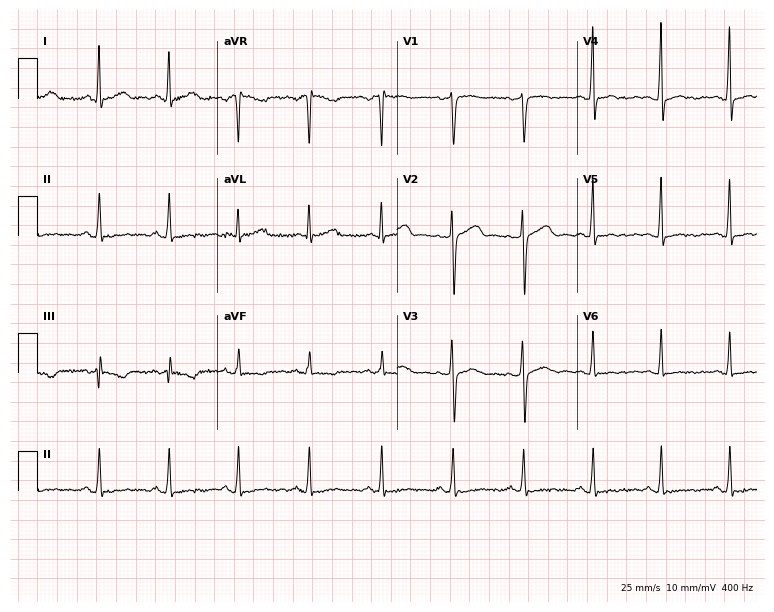
Electrocardiogram (7.3-second recording at 400 Hz), a 52-year-old woman. Overall reading on record: normal ECG.